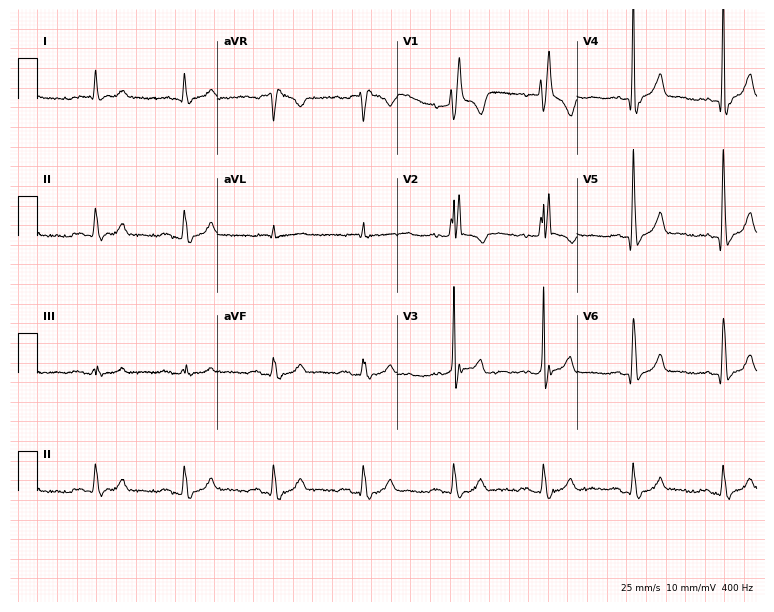
12-lead ECG from a 55-year-old man. Shows right bundle branch block.